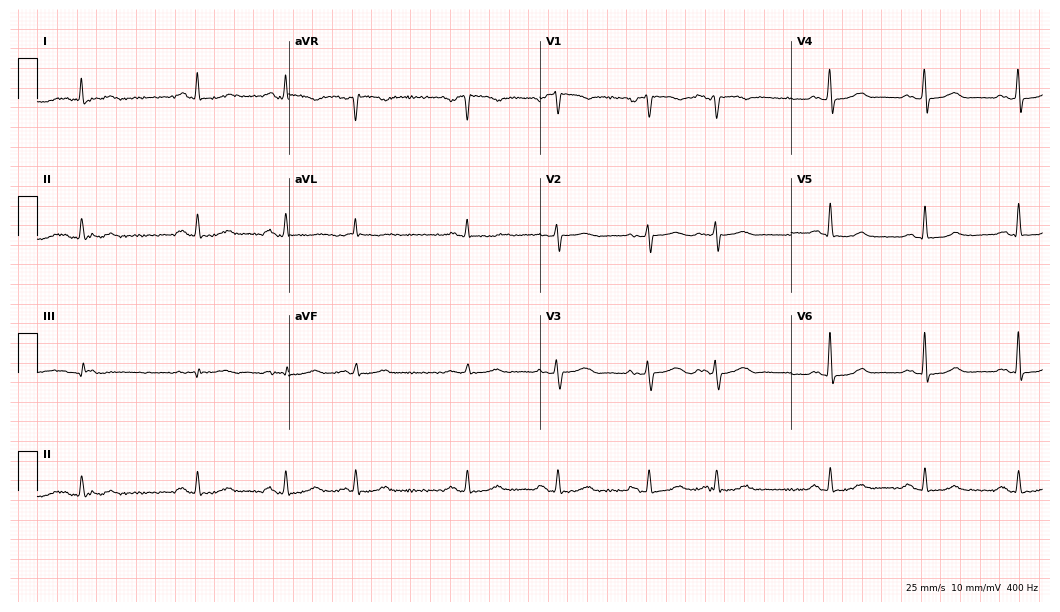
12-lead ECG from a woman, 53 years old (10.2-second recording at 400 Hz). Recorded interpretation: within normal limits.